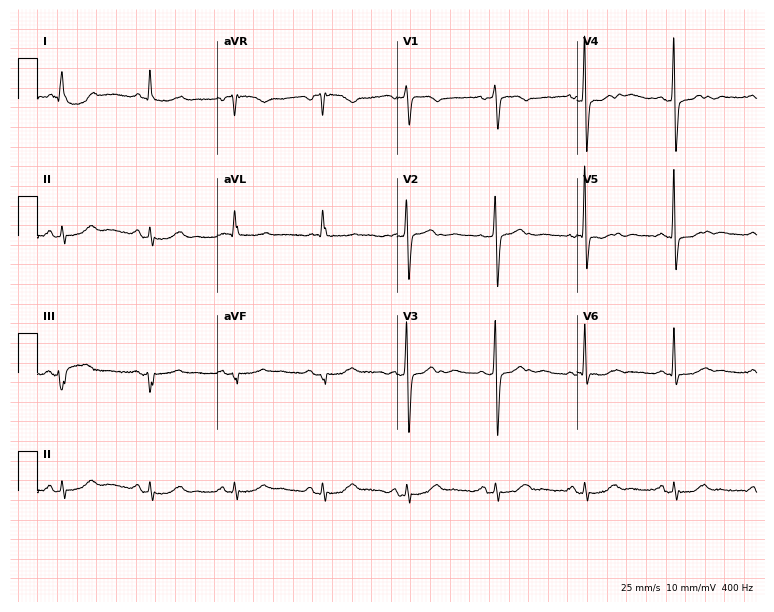
ECG (7.3-second recording at 400 Hz) — a 68-year-old female. Screened for six findings — first-degree AV block, right bundle branch block (RBBB), left bundle branch block (LBBB), sinus bradycardia, atrial fibrillation (AF), sinus tachycardia — none is recorded. Only these six findings were labelled.